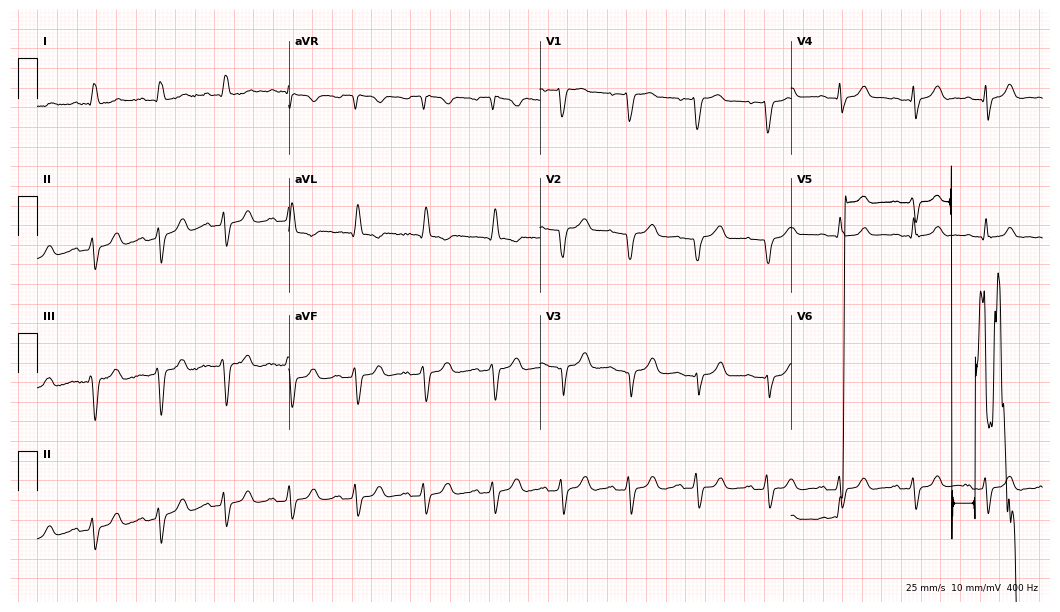
ECG (10.2-second recording at 400 Hz) — a 70-year-old female patient. Findings include left bundle branch block.